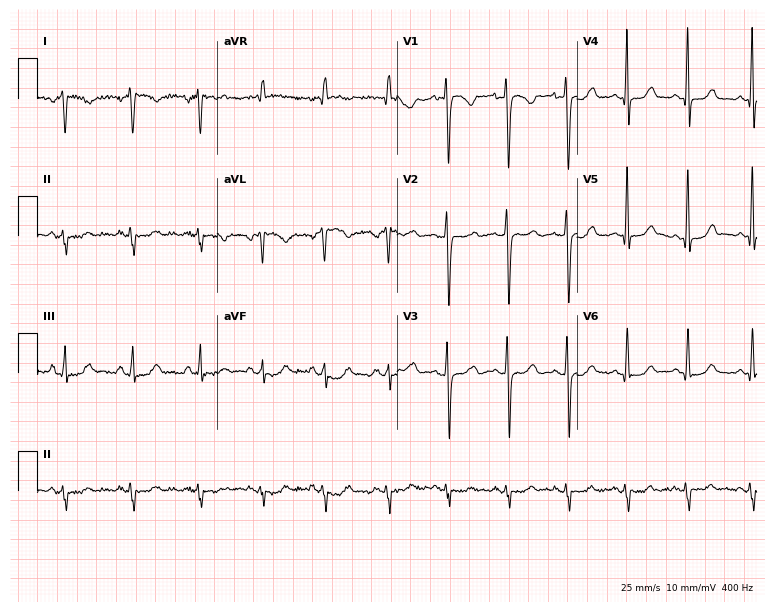
12-lead ECG from a 36-year-old woman (7.3-second recording at 400 Hz). No first-degree AV block, right bundle branch block (RBBB), left bundle branch block (LBBB), sinus bradycardia, atrial fibrillation (AF) or sinus tachycardia recorded for this tracing. Findings outside these six are not listed.